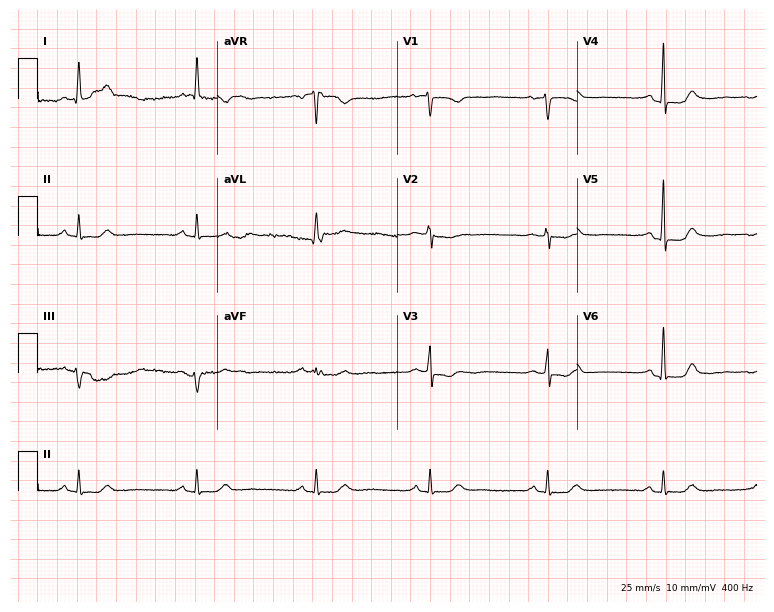
Electrocardiogram (7.3-second recording at 400 Hz), a 68-year-old female. Of the six screened findings (first-degree AV block, right bundle branch block, left bundle branch block, sinus bradycardia, atrial fibrillation, sinus tachycardia), none is recorded. Only these six findings were labelled.